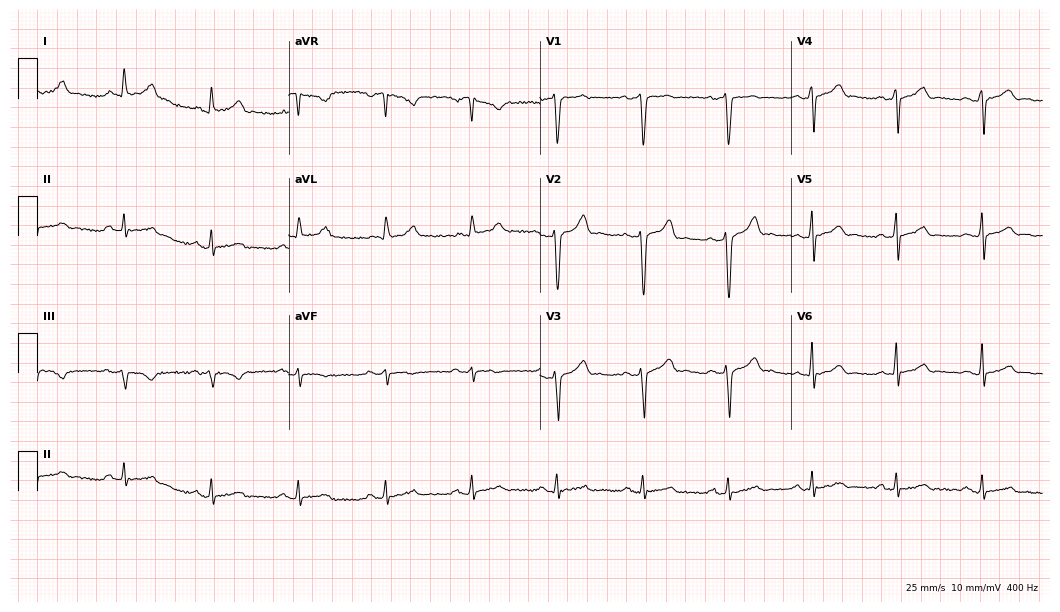
ECG (10.2-second recording at 400 Hz) — a 29-year-old male. Labelled as a normal ECG.